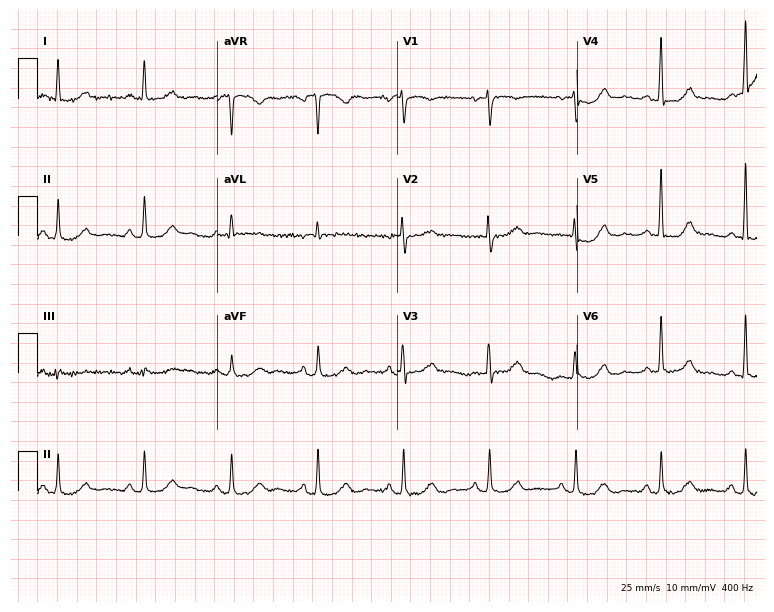
12-lead ECG from an 81-year-old woman. Screened for six findings — first-degree AV block, right bundle branch block, left bundle branch block, sinus bradycardia, atrial fibrillation, sinus tachycardia — none is recorded. Only these six findings were labelled.